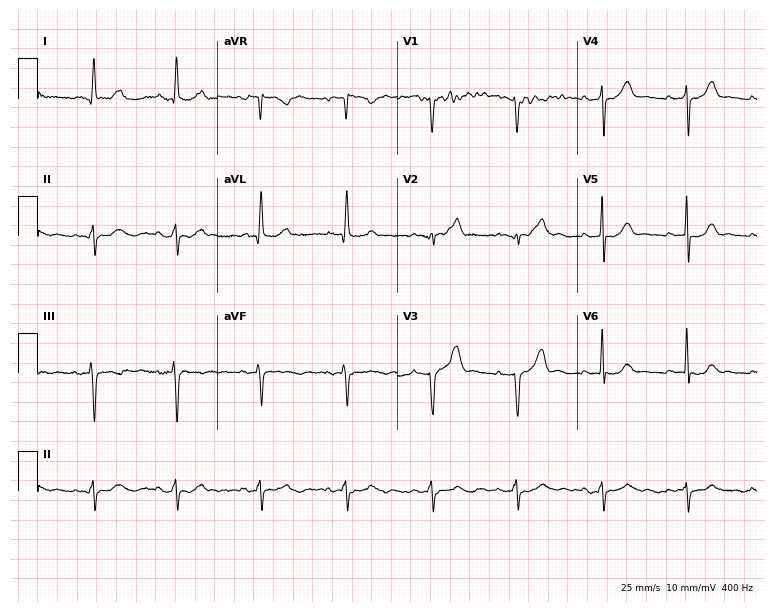
12-lead ECG from an 81-year-old woman. Screened for six findings — first-degree AV block, right bundle branch block, left bundle branch block, sinus bradycardia, atrial fibrillation, sinus tachycardia — none is recorded. Only these six findings were labelled.